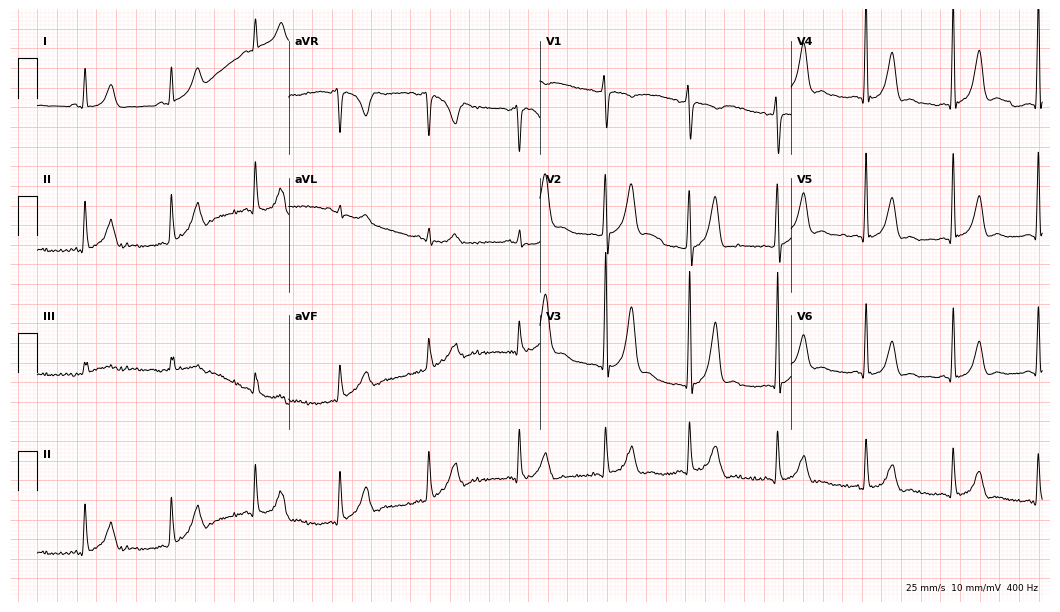
Resting 12-lead electrocardiogram. Patient: a 28-year-old male. Read as a normal ECG.